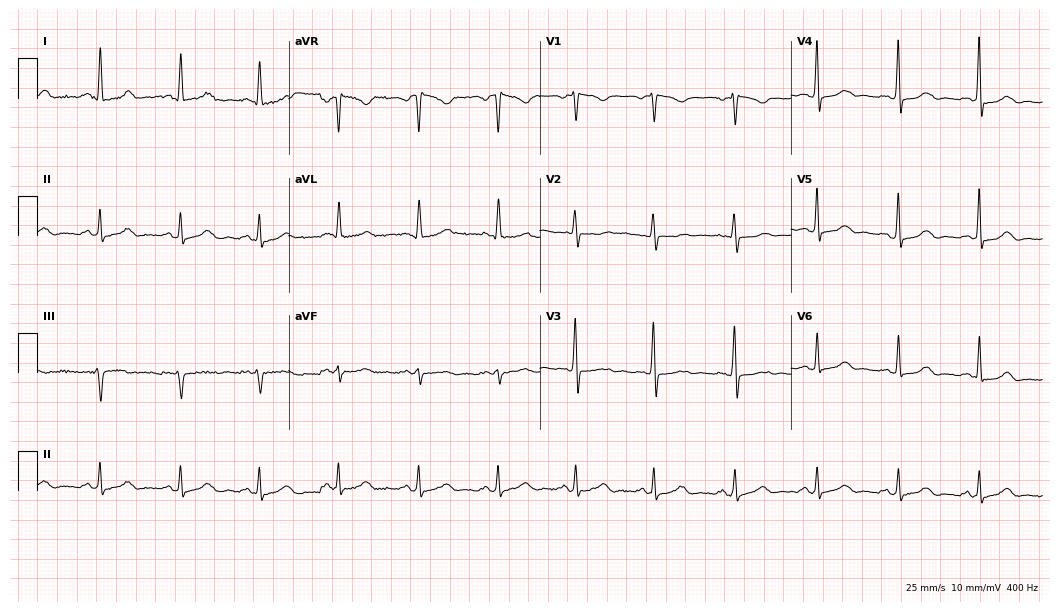
Resting 12-lead electrocardiogram. Patient: a female, 42 years old. None of these six findings is recorded: first-degree AV block, right bundle branch block, left bundle branch block, sinus bradycardia, atrial fibrillation, sinus tachycardia.